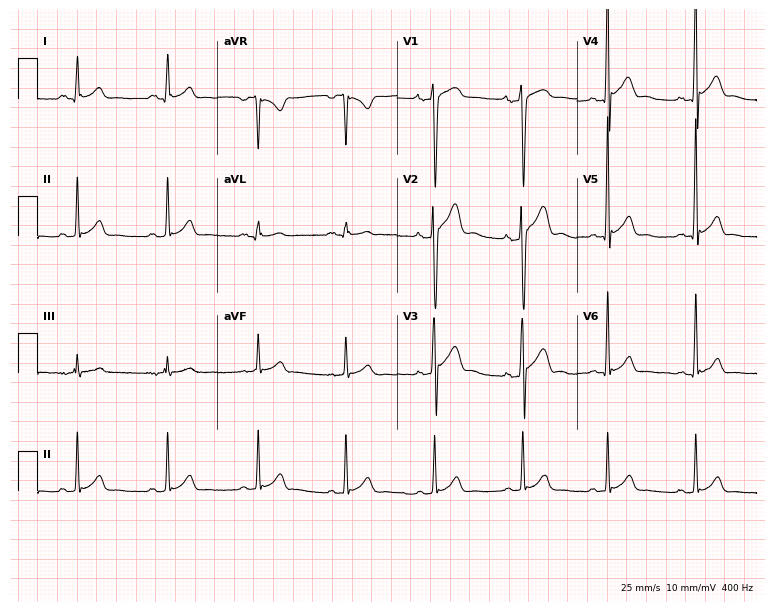
ECG (7.3-second recording at 400 Hz) — an 18-year-old woman. Labelled as a normal ECG.